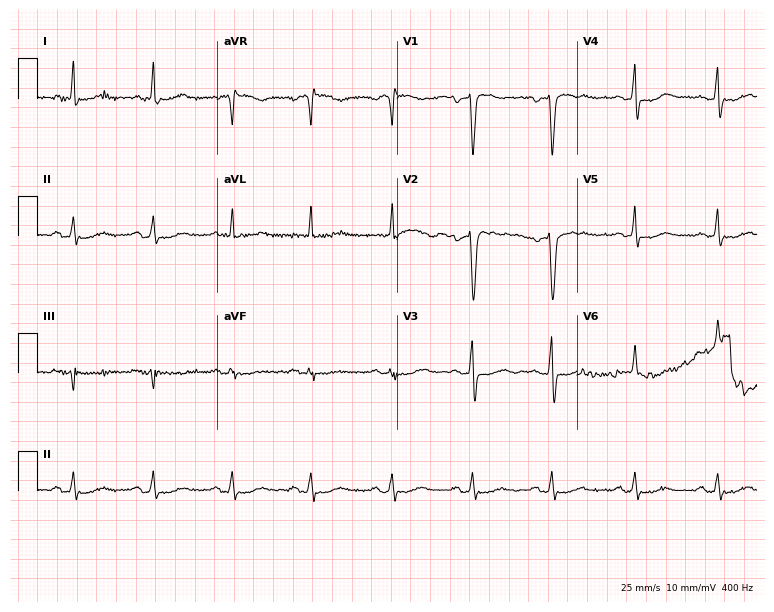
ECG — a 44-year-old female. Screened for six findings — first-degree AV block, right bundle branch block (RBBB), left bundle branch block (LBBB), sinus bradycardia, atrial fibrillation (AF), sinus tachycardia — none is recorded.